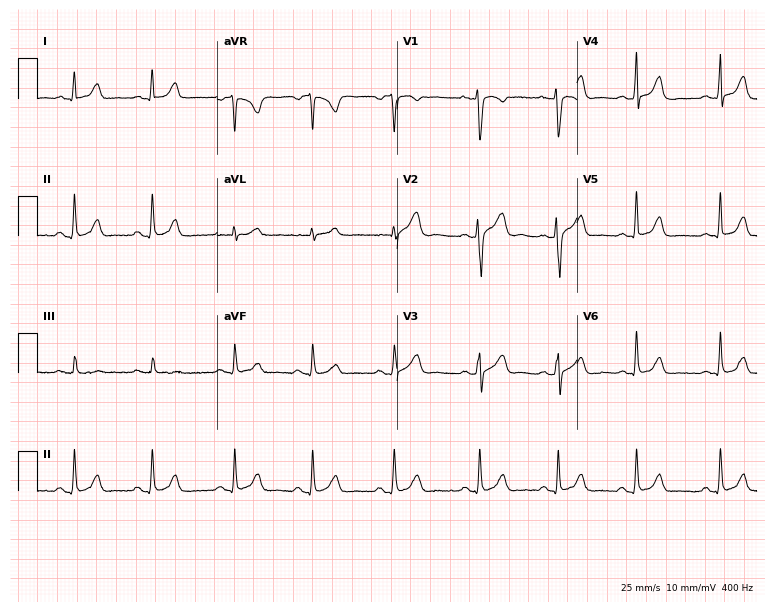
Electrocardiogram, a female, 25 years old. Overall reading on record: normal ECG.